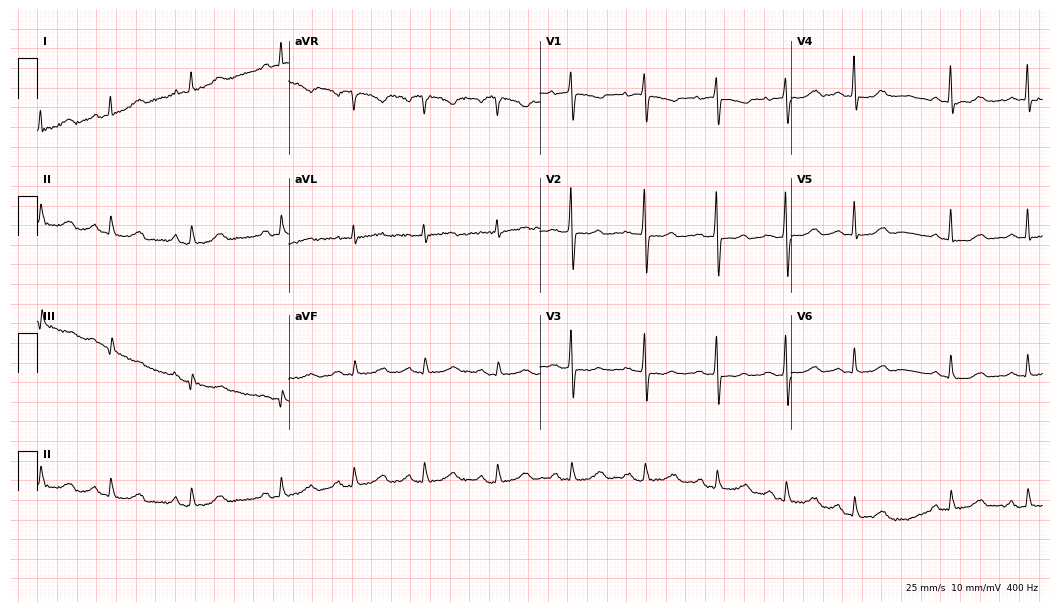
12-lead ECG from a 74-year-old female (10.2-second recording at 400 Hz). No first-degree AV block, right bundle branch block, left bundle branch block, sinus bradycardia, atrial fibrillation or sinus tachycardia recorded for this tracing.